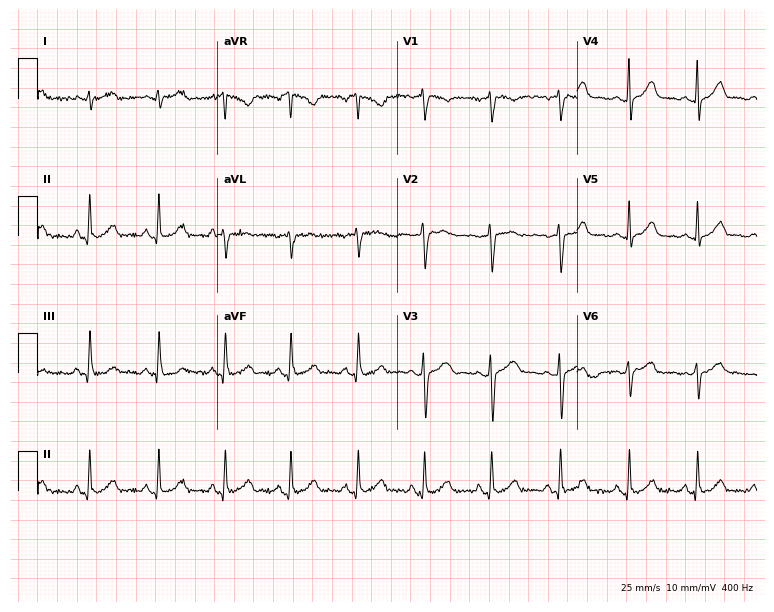
Resting 12-lead electrocardiogram (7.3-second recording at 400 Hz). Patient: a 41-year-old female. Read as a normal ECG.